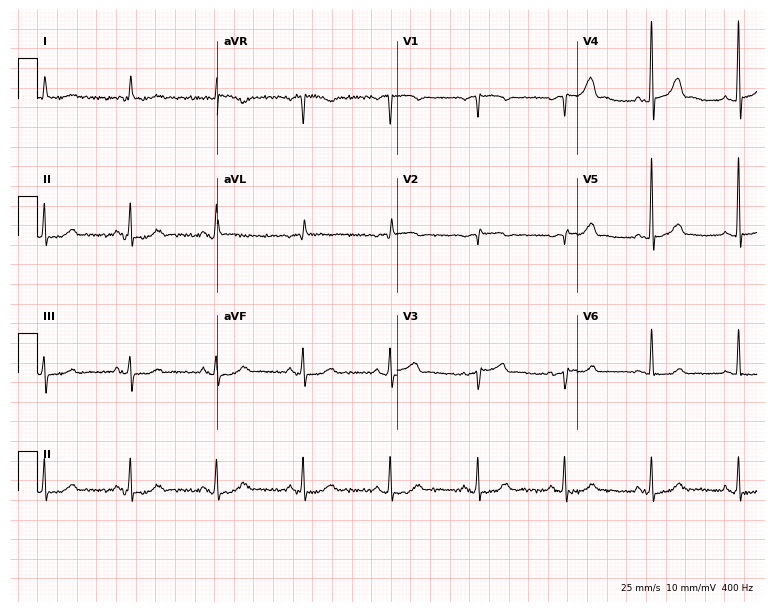
ECG — a male patient, 78 years old. Screened for six findings — first-degree AV block, right bundle branch block (RBBB), left bundle branch block (LBBB), sinus bradycardia, atrial fibrillation (AF), sinus tachycardia — none is recorded.